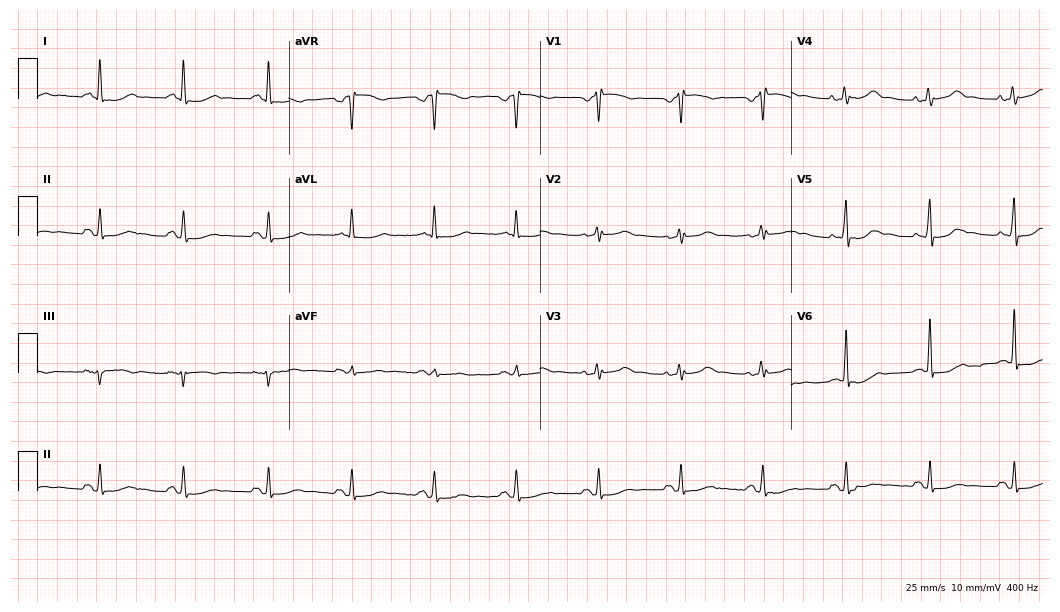
Standard 12-lead ECG recorded from a female, 63 years old (10.2-second recording at 400 Hz). None of these six findings is recorded: first-degree AV block, right bundle branch block, left bundle branch block, sinus bradycardia, atrial fibrillation, sinus tachycardia.